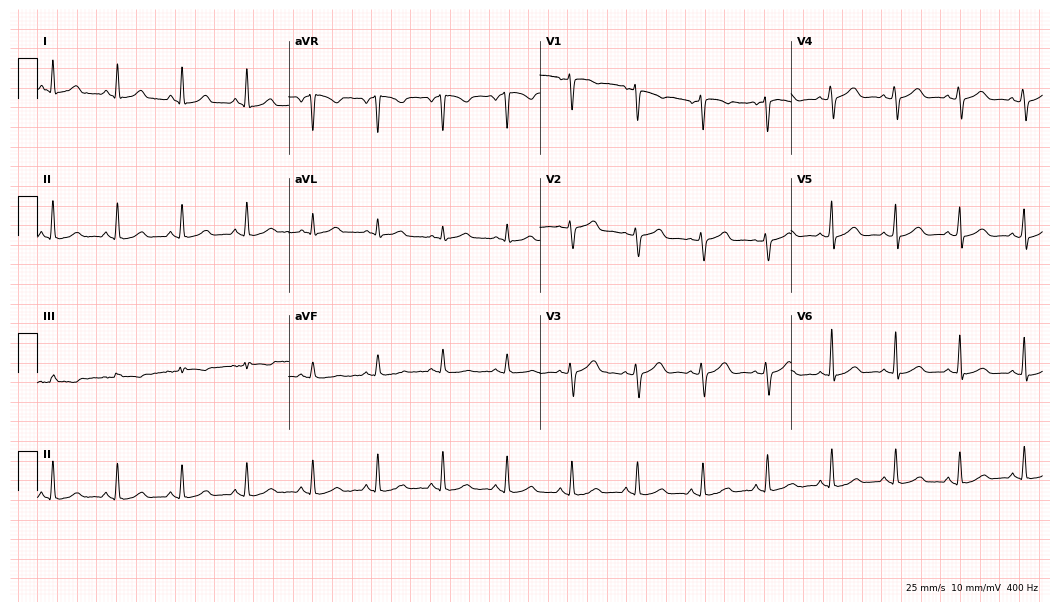
Standard 12-lead ECG recorded from a female, 50 years old (10.2-second recording at 400 Hz). Read as a normal ECG.